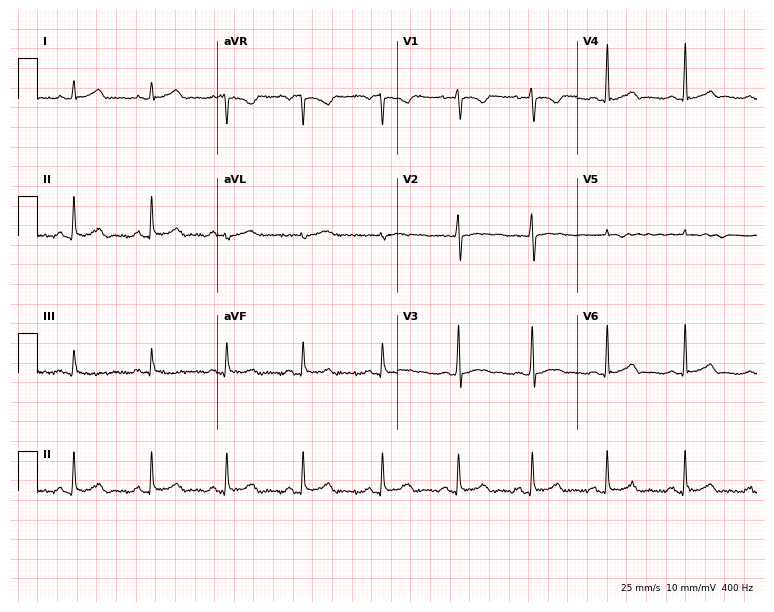
12-lead ECG from a female patient, 26 years old. Labelled as a normal ECG.